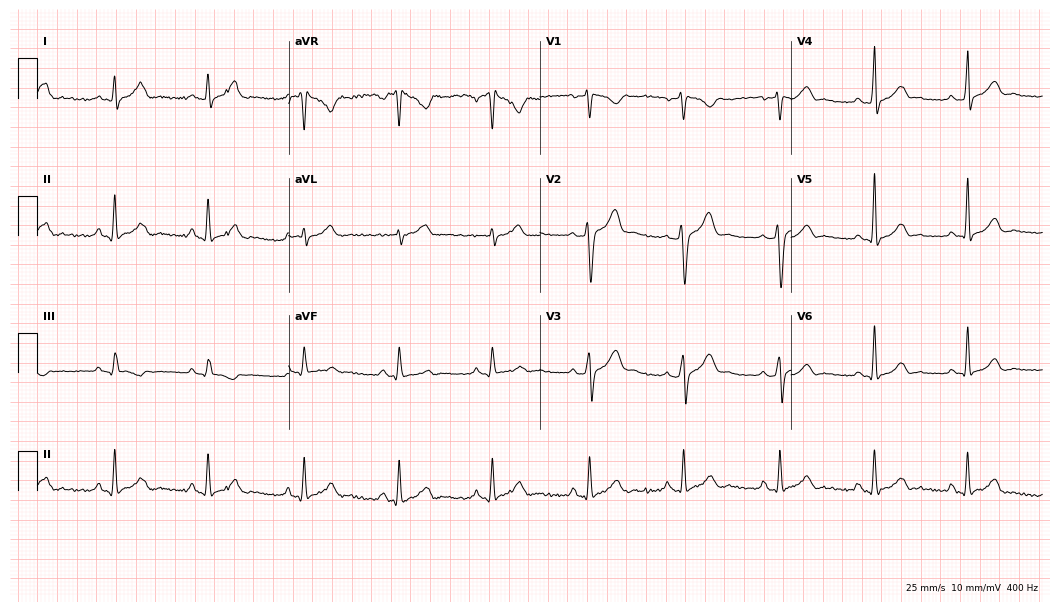
12-lead ECG (10.2-second recording at 400 Hz) from a man, 36 years old. Screened for six findings — first-degree AV block, right bundle branch block (RBBB), left bundle branch block (LBBB), sinus bradycardia, atrial fibrillation (AF), sinus tachycardia — none is recorded. Findings outside these six are not listed.